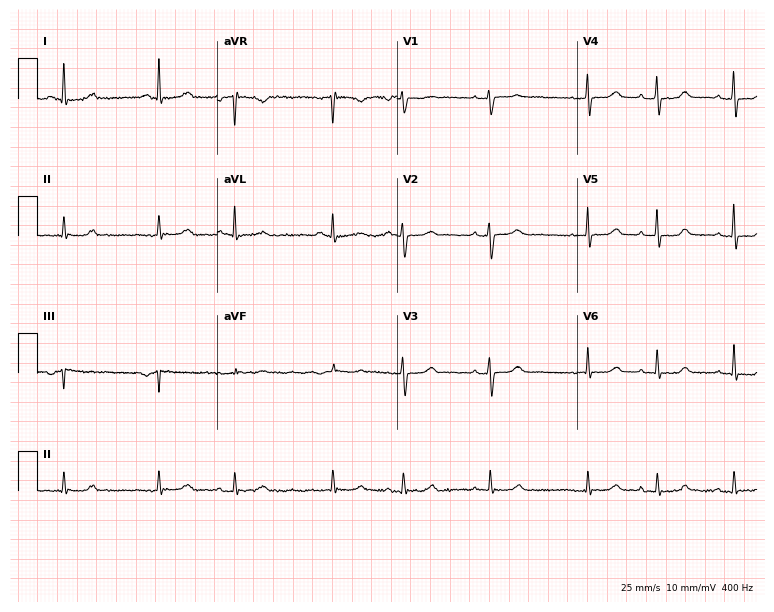
Electrocardiogram (7.3-second recording at 400 Hz), a female, 65 years old. Overall reading on record: normal ECG.